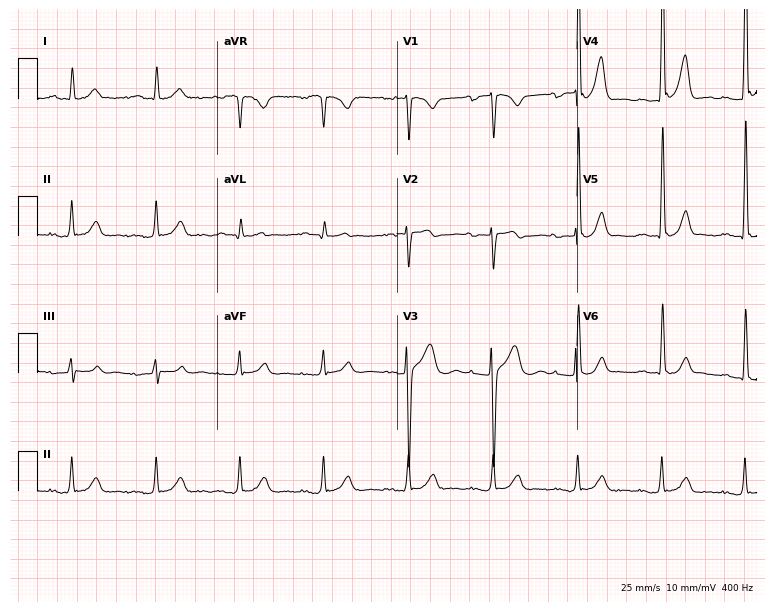
12-lead ECG (7.3-second recording at 400 Hz) from a 33-year-old man. Screened for six findings — first-degree AV block, right bundle branch block, left bundle branch block, sinus bradycardia, atrial fibrillation, sinus tachycardia — none is recorded. Findings outside these six are not listed.